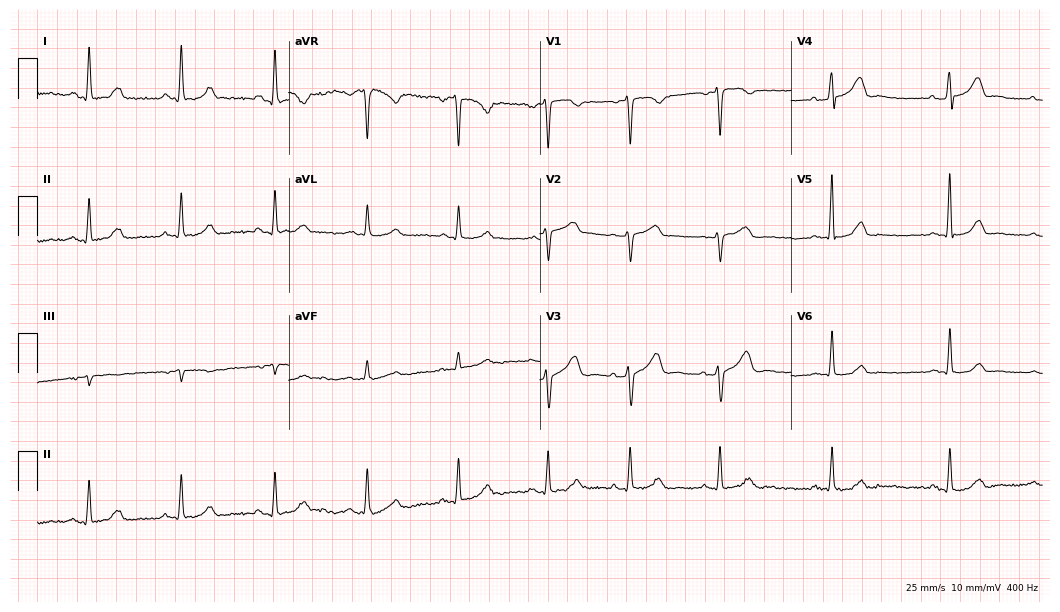
12-lead ECG (10.2-second recording at 400 Hz) from a 47-year-old female patient. Labelled as a normal ECG.